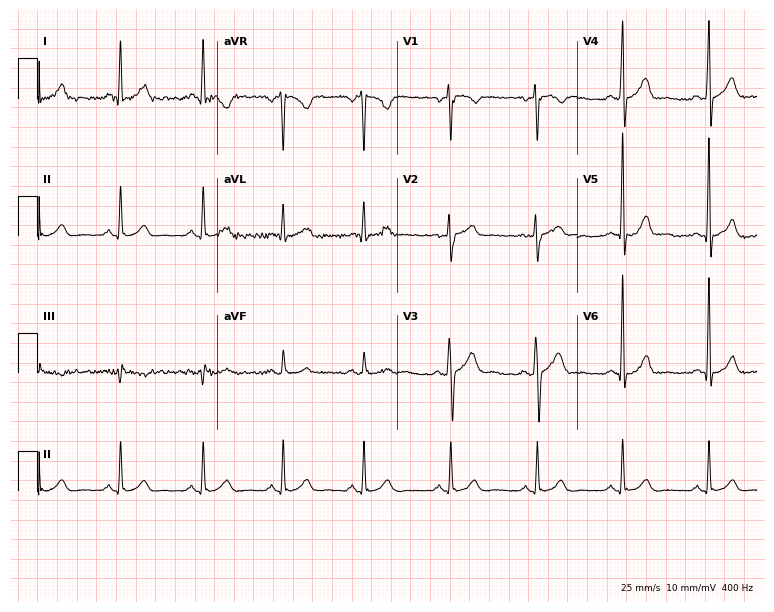
Standard 12-lead ECG recorded from a 45-year-old male patient. Read as a normal ECG.